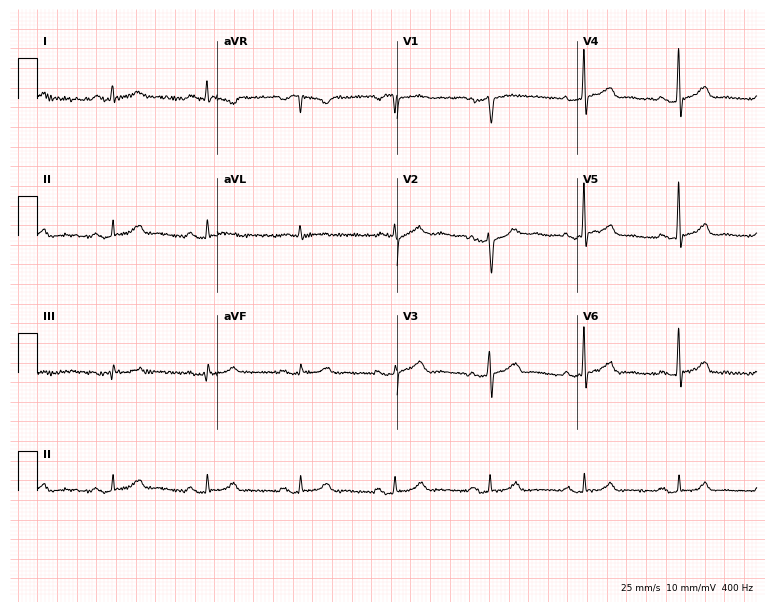
Electrocardiogram (7.3-second recording at 400 Hz), a 74-year-old male. Overall reading on record: normal ECG.